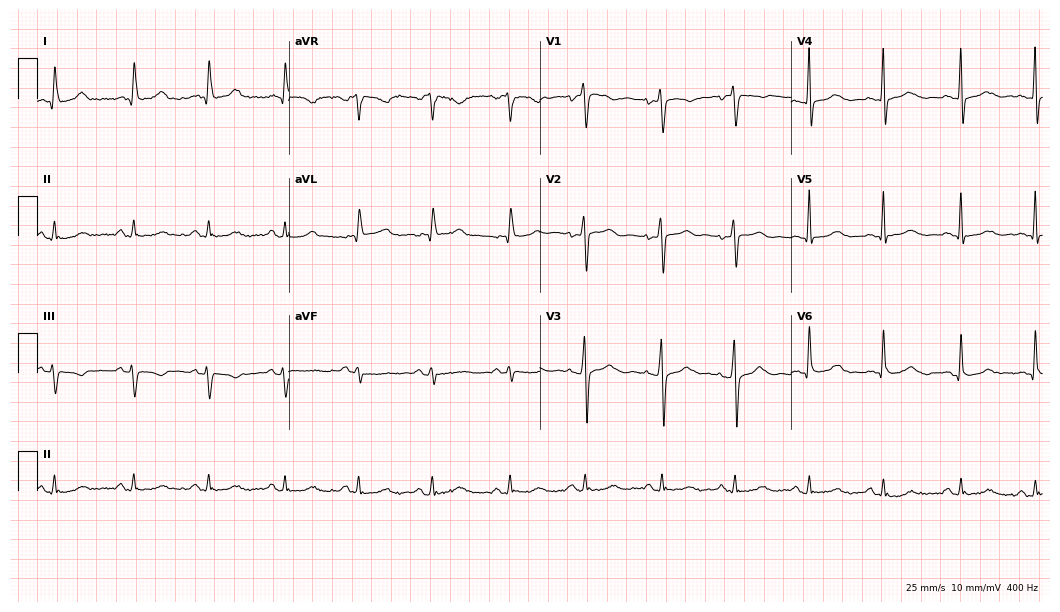
Electrocardiogram, a 54-year-old female patient. Of the six screened findings (first-degree AV block, right bundle branch block, left bundle branch block, sinus bradycardia, atrial fibrillation, sinus tachycardia), none is recorded.